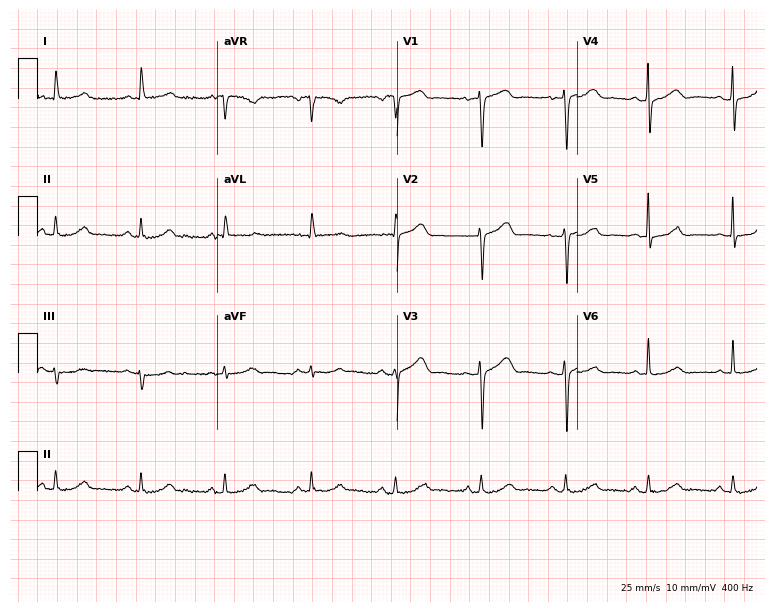
Resting 12-lead electrocardiogram. Patient: a 59-year-old female. Read as a normal ECG.